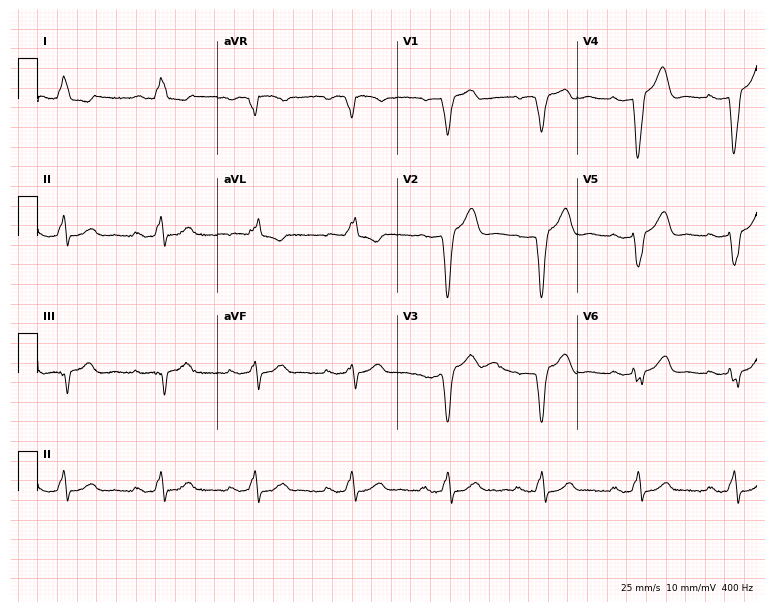
12-lead ECG (7.3-second recording at 400 Hz) from an 80-year-old female. Findings include left bundle branch block.